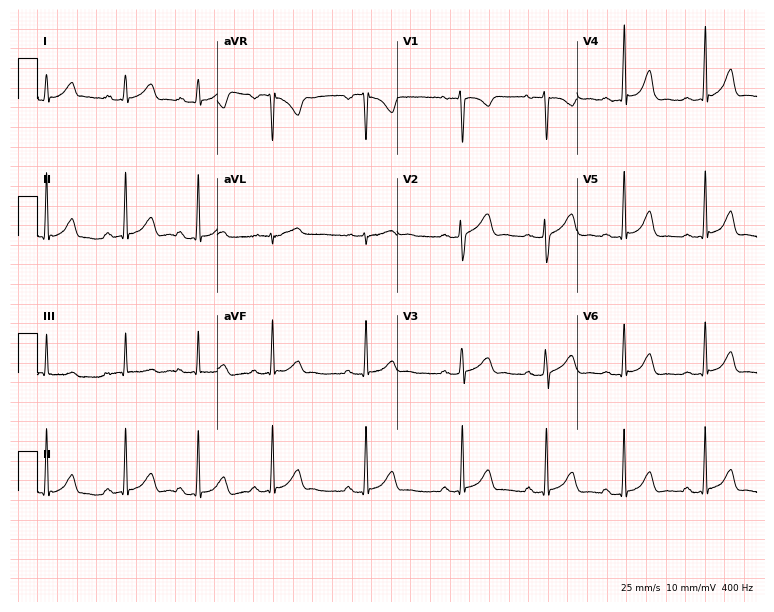
Resting 12-lead electrocardiogram. Patient: an 18-year-old female. Read as a normal ECG.